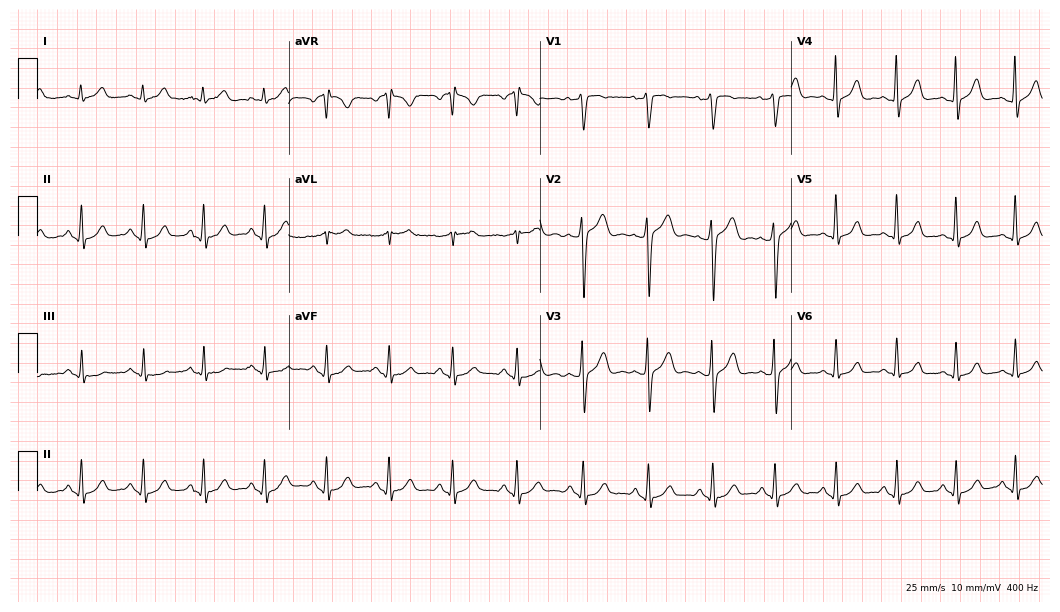
Resting 12-lead electrocardiogram (10.2-second recording at 400 Hz). Patient: a man, 45 years old. Read as a normal ECG.